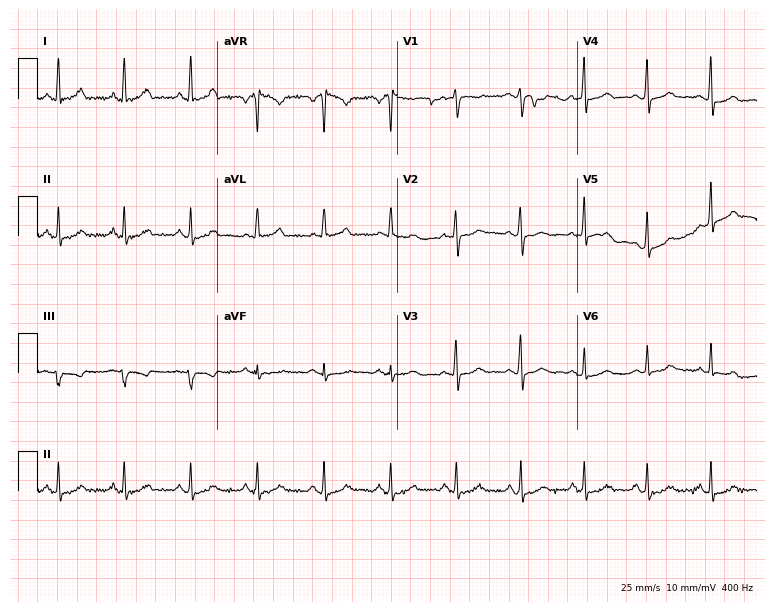
12-lead ECG (7.3-second recording at 400 Hz) from a 64-year-old female patient. Labelled as a normal ECG.